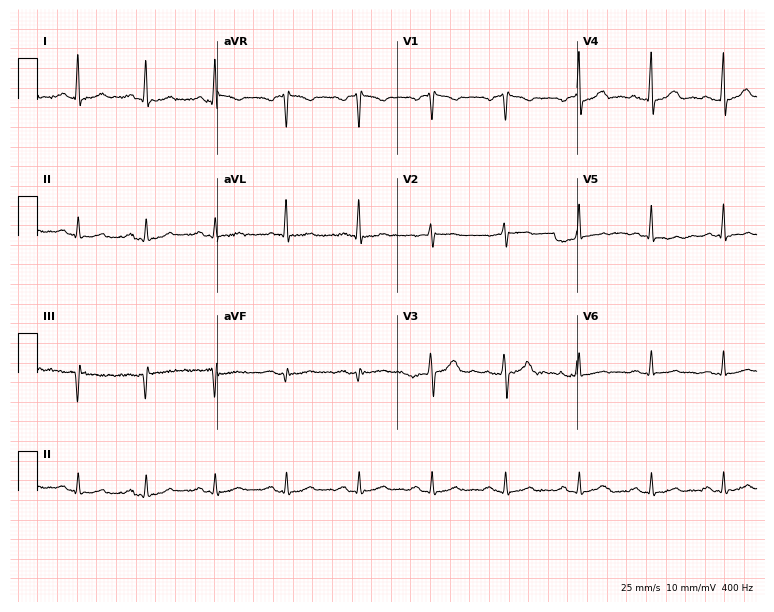
ECG (7.3-second recording at 400 Hz) — a 47-year-old man. Screened for six findings — first-degree AV block, right bundle branch block, left bundle branch block, sinus bradycardia, atrial fibrillation, sinus tachycardia — none is recorded. Only these six findings were labelled.